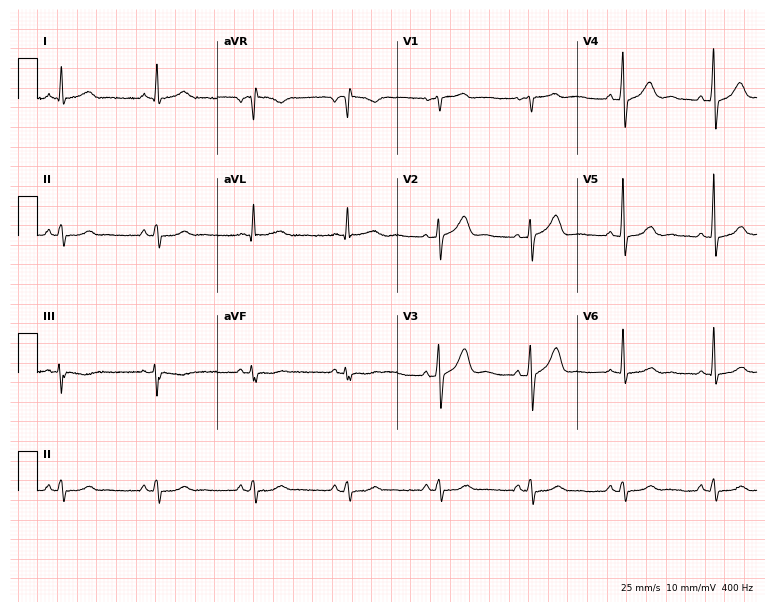
Electrocardiogram (7.3-second recording at 400 Hz), a 65-year-old male. Overall reading on record: normal ECG.